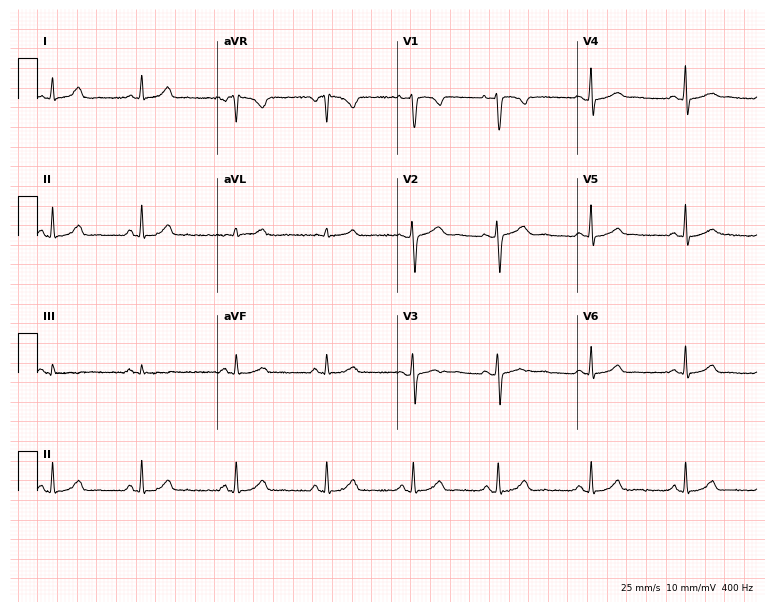
ECG (7.3-second recording at 400 Hz) — a 21-year-old female. Labelled as a normal ECG.